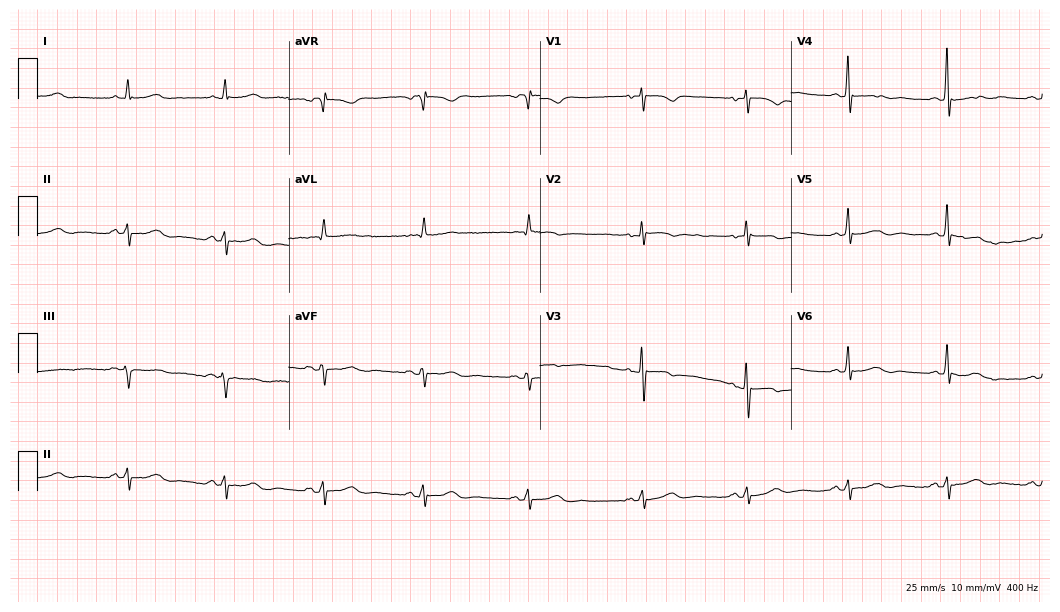
ECG (10.2-second recording at 400 Hz) — a female, 67 years old. Screened for six findings — first-degree AV block, right bundle branch block (RBBB), left bundle branch block (LBBB), sinus bradycardia, atrial fibrillation (AF), sinus tachycardia — none is recorded. Only these six findings were labelled.